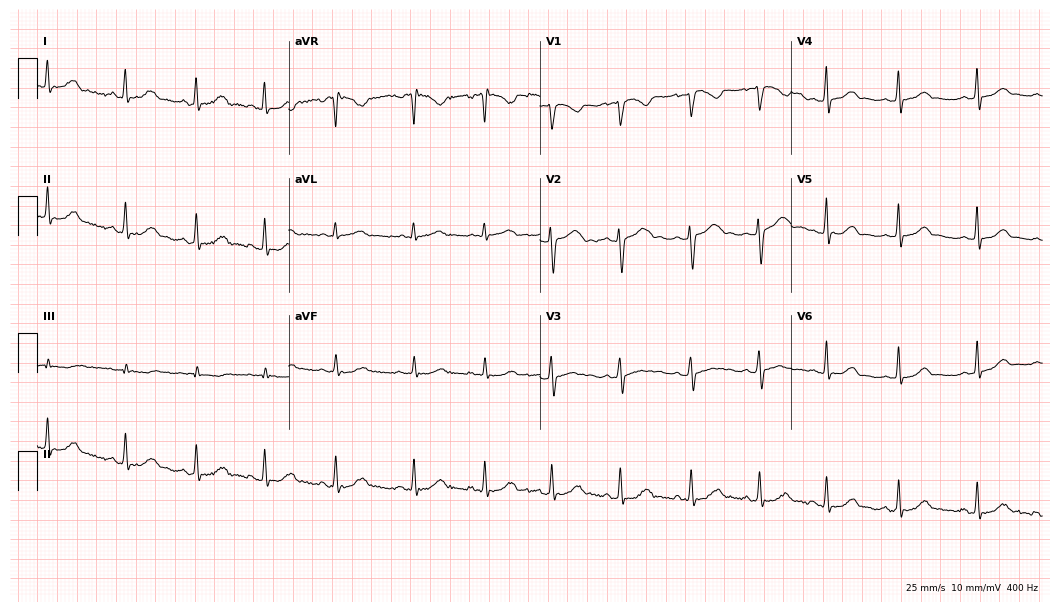
ECG (10.2-second recording at 400 Hz) — a female, 17 years old. Labelled as a normal ECG.